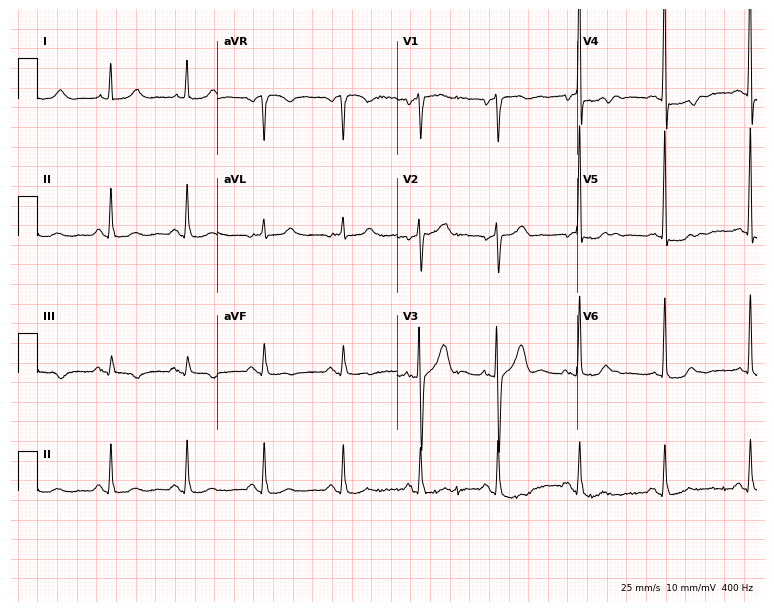
12-lead ECG from a 59-year-old male. Labelled as a normal ECG.